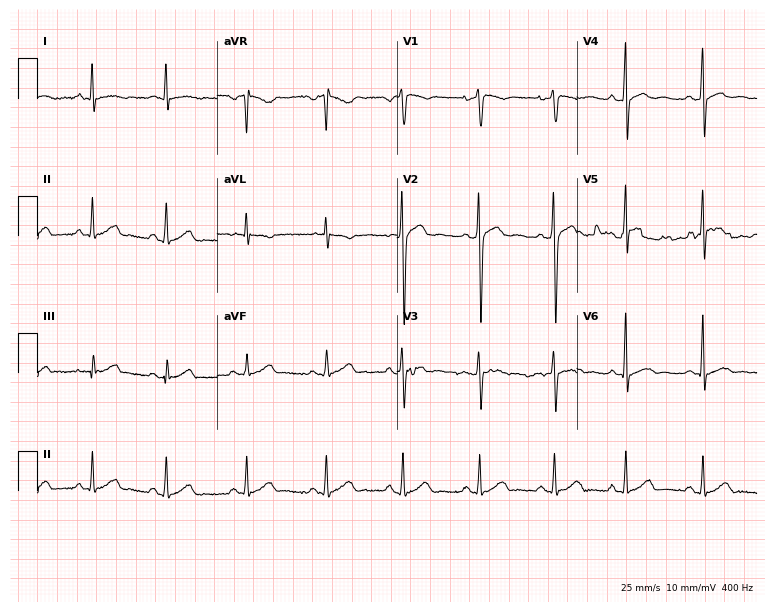
Electrocardiogram (7.3-second recording at 400 Hz), a 28-year-old man. Overall reading on record: normal ECG.